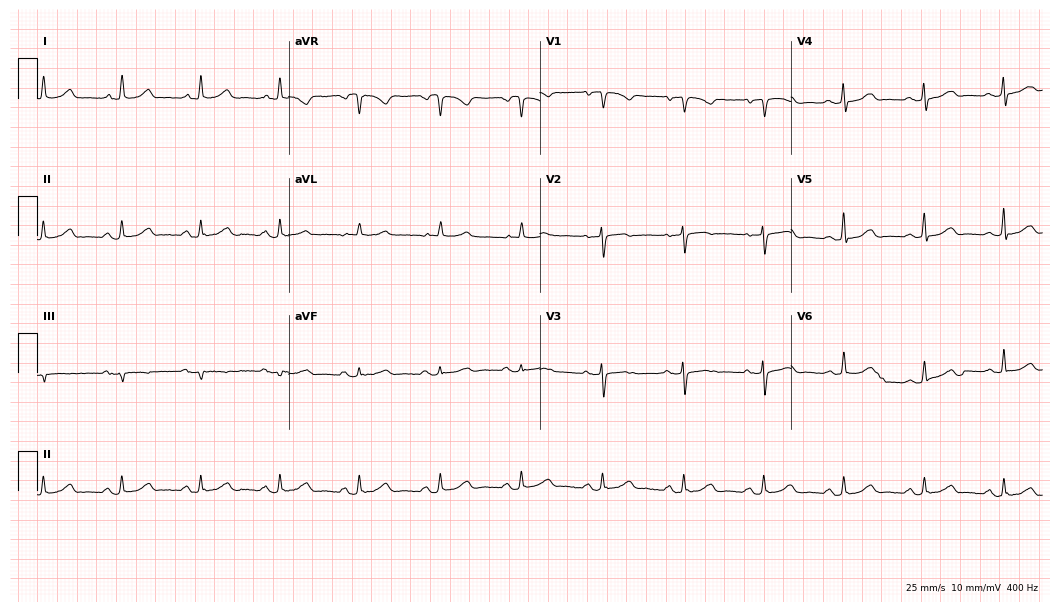
Standard 12-lead ECG recorded from a 65-year-old female patient (10.2-second recording at 400 Hz). Read as a normal ECG.